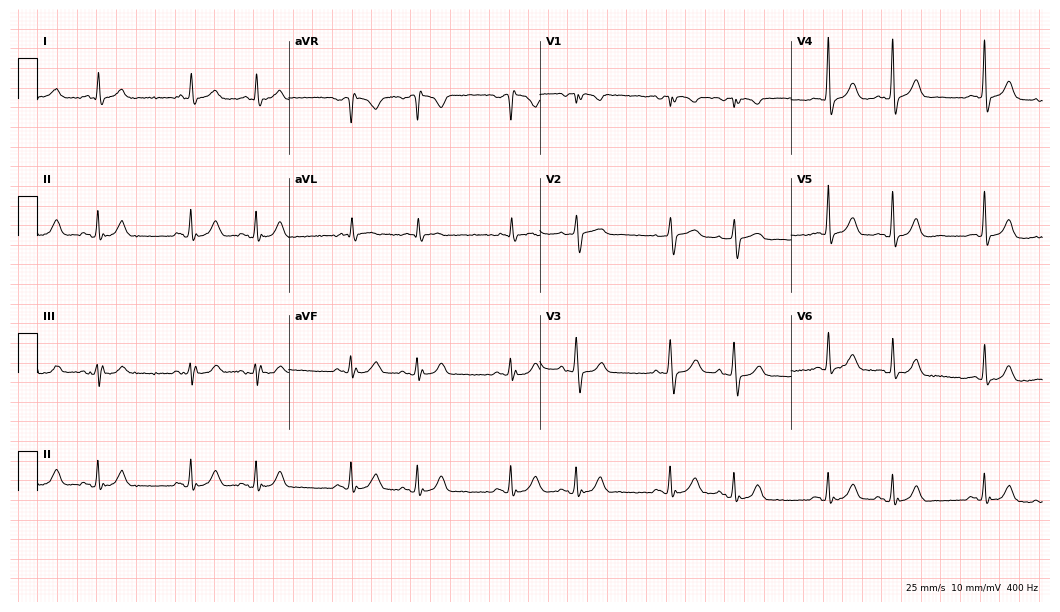
Standard 12-lead ECG recorded from a 78-year-old man. None of these six findings is recorded: first-degree AV block, right bundle branch block, left bundle branch block, sinus bradycardia, atrial fibrillation, sinus tachycardia.